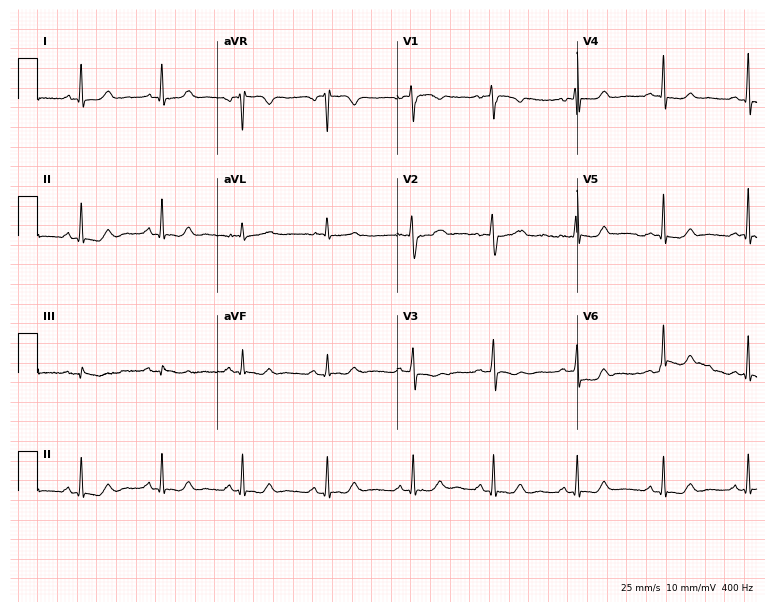
Resting 12-lead electrocardiogram (7.3-second recording at 400 Hz). Patient: a 45-year-old woman. Read as a normal ECG.